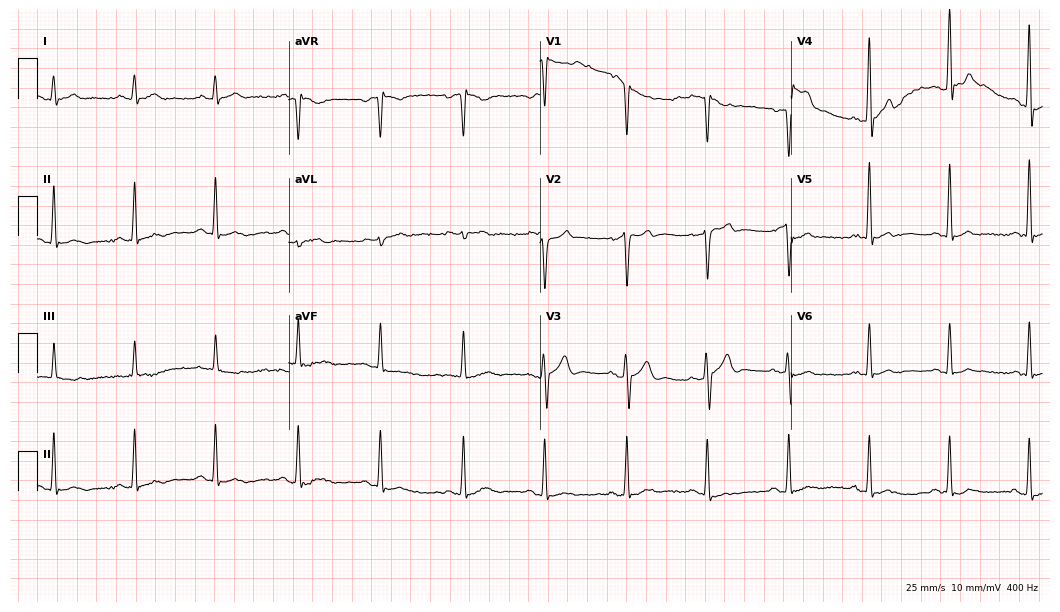
12-lead ECG (10.2-second recording at 400 Hz) from a man, 39 years old. Screened for six findings — first-degree AV block, right bundle branch block (RBBB), left bundle branch block (LBBB), sinus bradycardia, atrial fibrillation (AF), sinus tachycardia — none is recorded. Findings outside these six are not listed.